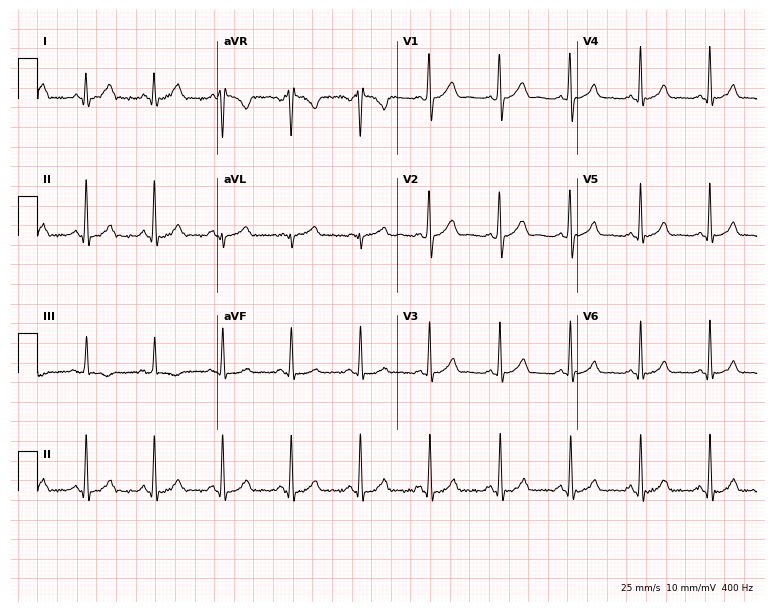
Resting 12-lead electrocardiogram (7.3-second recording at 400 Hz). Patient: a 28-year-old male. None of these six findings is recorded: first-degree AV block, right bundle branch block, left bundle branch block, sinus bradycardia, atrial fibrillation, sinus tachycardia.